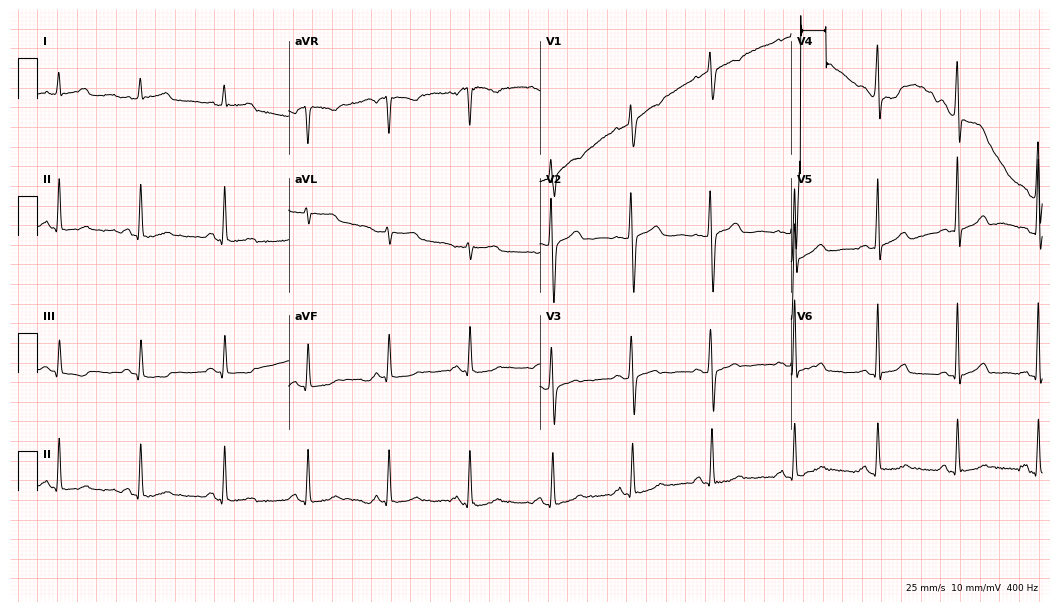
Electrocardiogram (10.2-second recording at 400 Hz), a 51-year-old female. Of the six screened findings (first-degree AV block, right bundle branch block, left bundle branch block, sinus bradycardia, atrial fibrillation, sinus tachycardia), none is recorded.